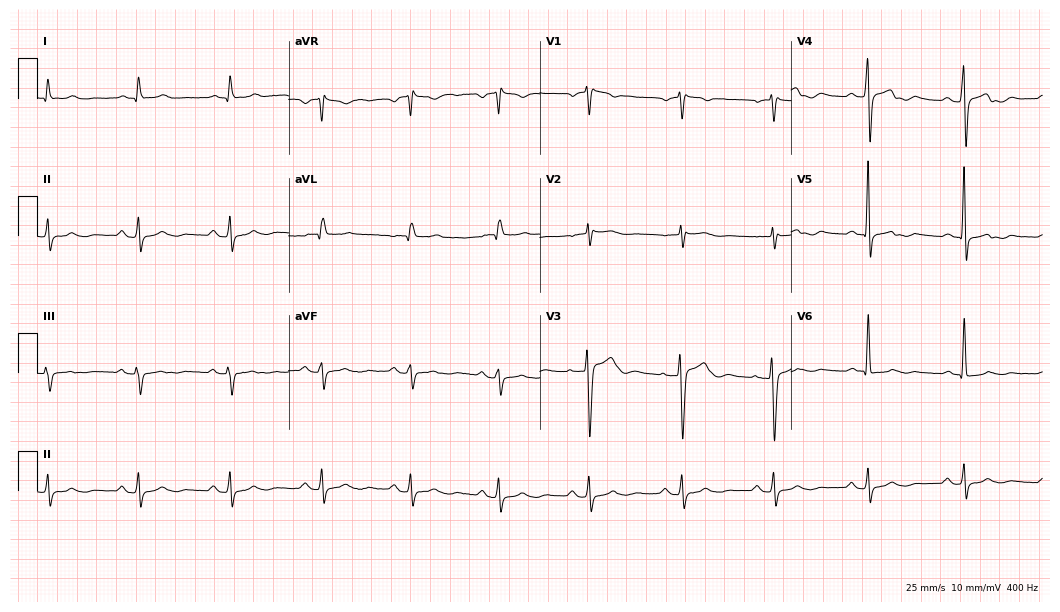
ECG (10.2-second recording at 400 Hz) — a 64-year-old male. Labelled as a normal ECG.